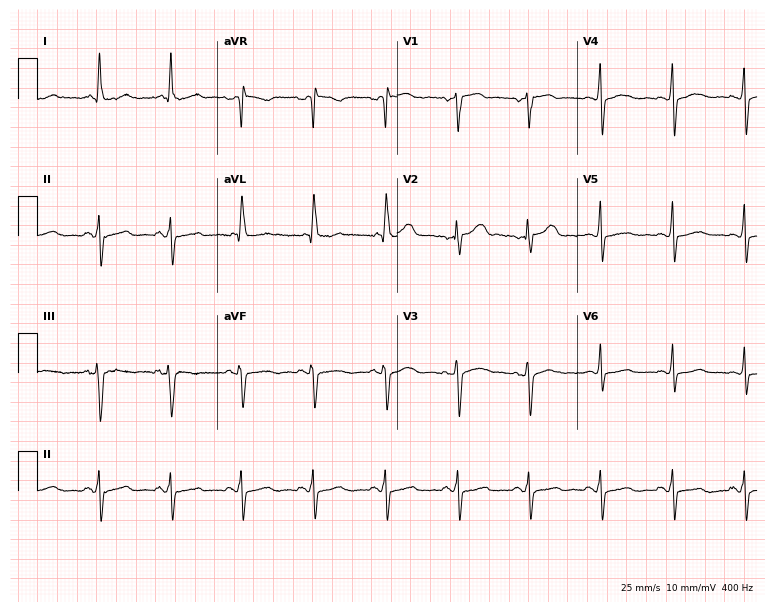
12-lead ECG from a woman, 52 years old (7.3-second recording at 400 Hz). No first-degree AV block, right bundle branch block (RBBB), left bundle branch block (LBBB), sinus bradycardia, atrial fibrillation (AF) or sinus tachycardia recorded for this tracing.